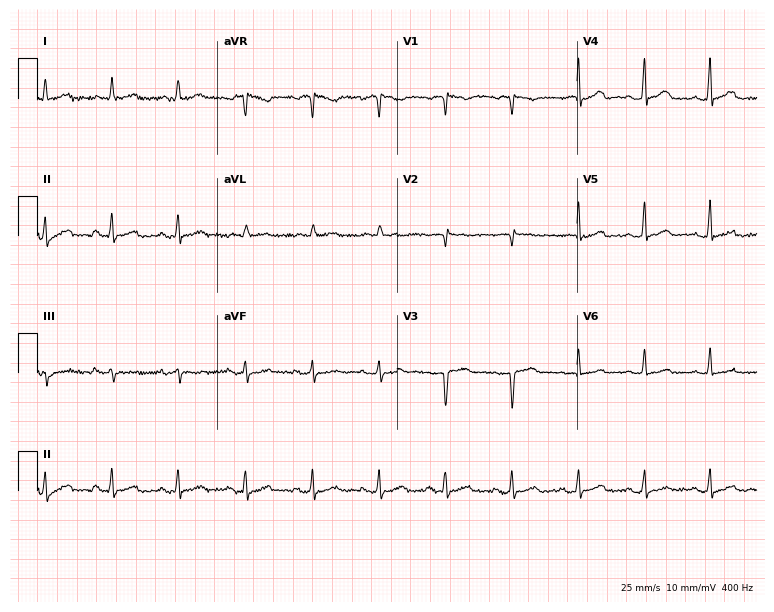
Electrocardiogram, a 68-year-old female. Of the six screened findings (first-degree AV block, right bundle branch block, left bundle branch block, sinus bradycardia, atrial fibrillation, sinus tachycardia), none is recorded.